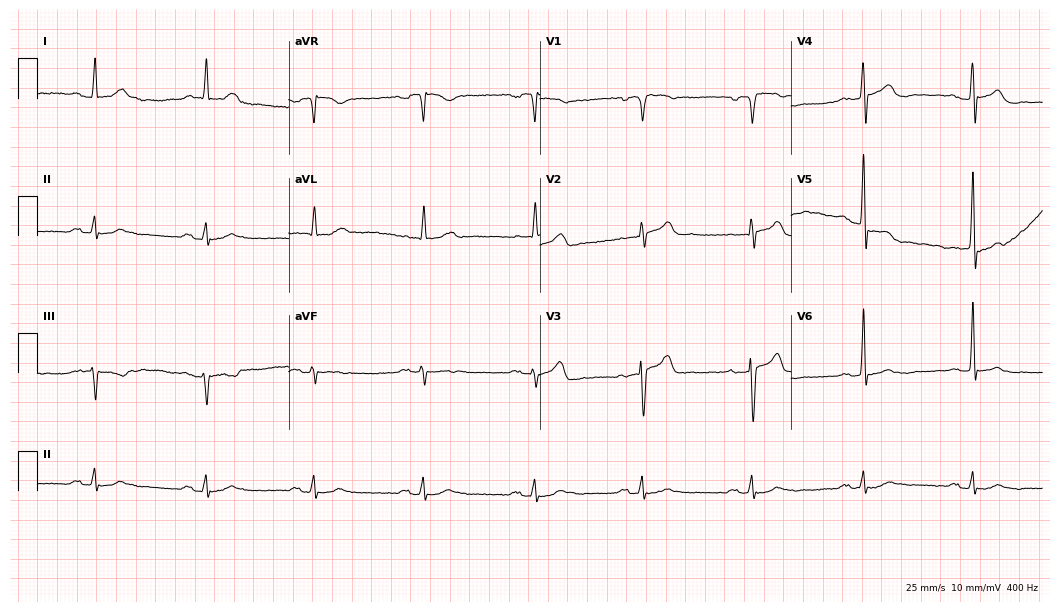
Standard 12-lead ECG recorded from a 73-year-old male patient (10.2-second recording at 400 Hz). Read as a normal ECG.